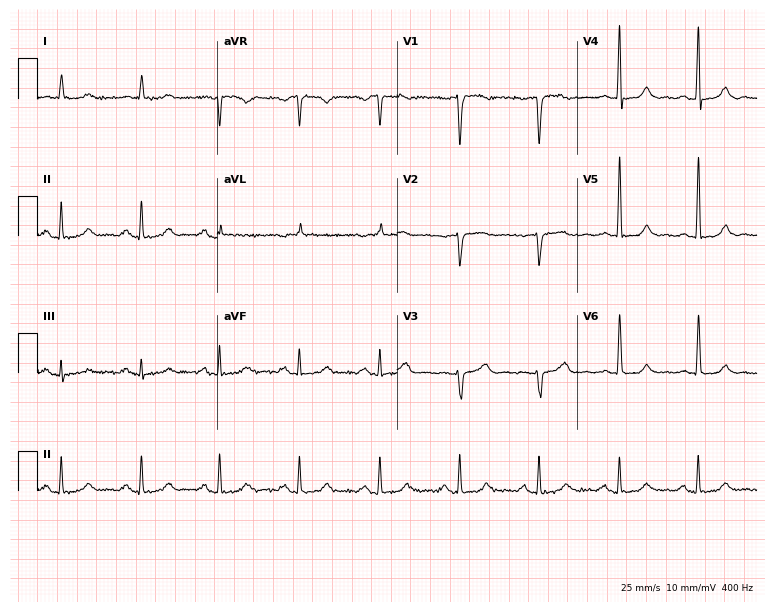
12-lead ECG from a man, 78 years old. No first-degree AV block, right bundle branch block (RBBB), left bundle branch block (LBBB), sinus bradycardia, atrial fibrillation (AF) or sinus tachycardia recorded for this tracing.